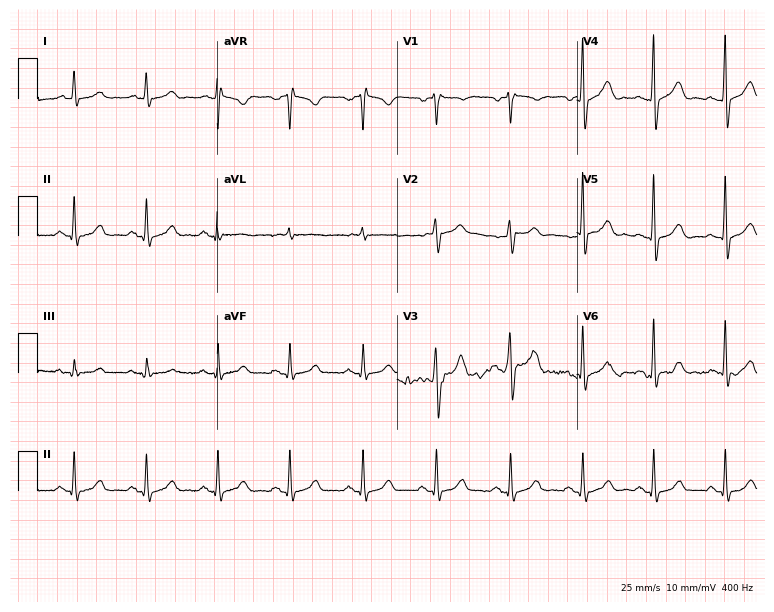
Electrocardiogram, a 57-year-old man. Overall reading on record: normal ECG.